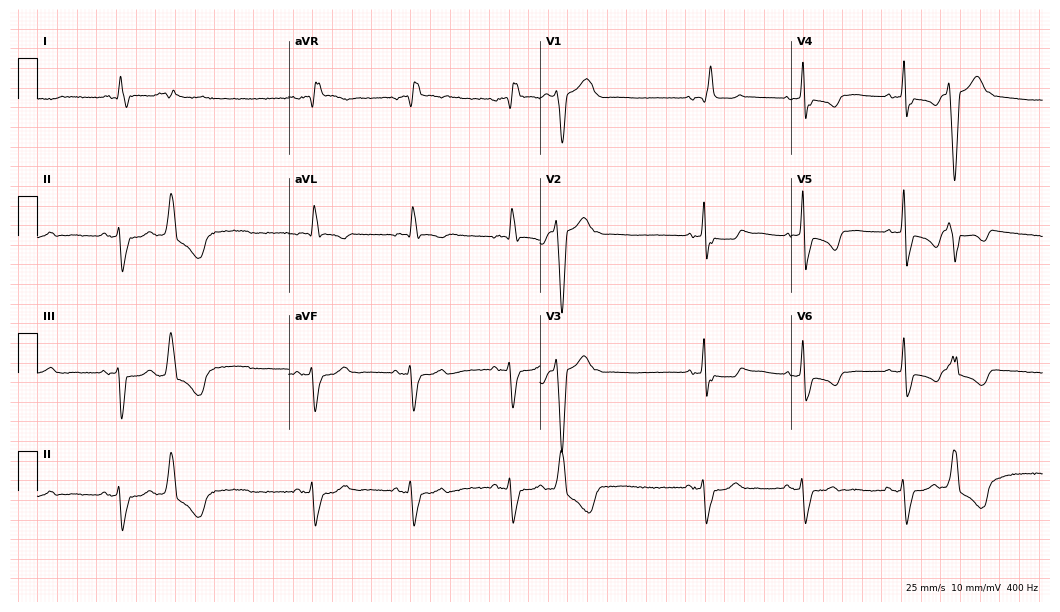
Standard 12-lead ECG recorded from a male, 79 years old. The tracing shows right bundle branch block (RBBB).